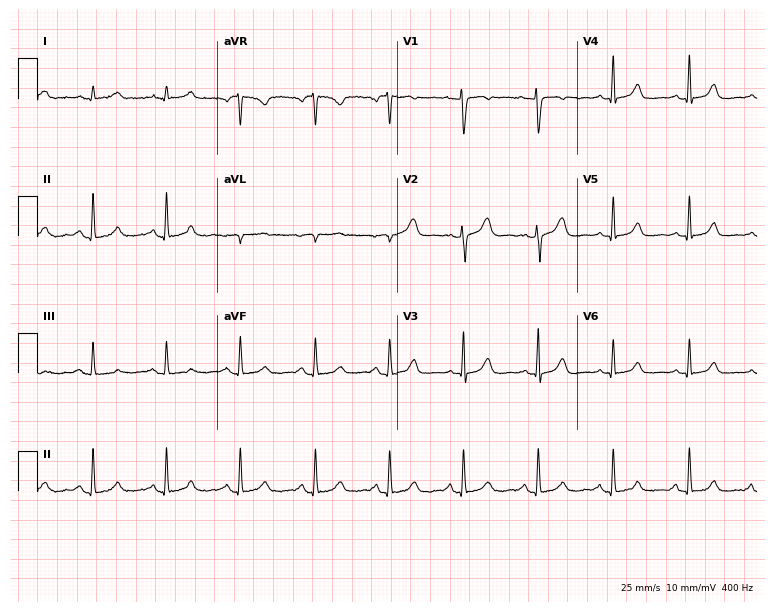
12-lead ECG (7.3-second recording at 400 Hz) from a female patient, 38 years old. Labelled as a normal ECG.